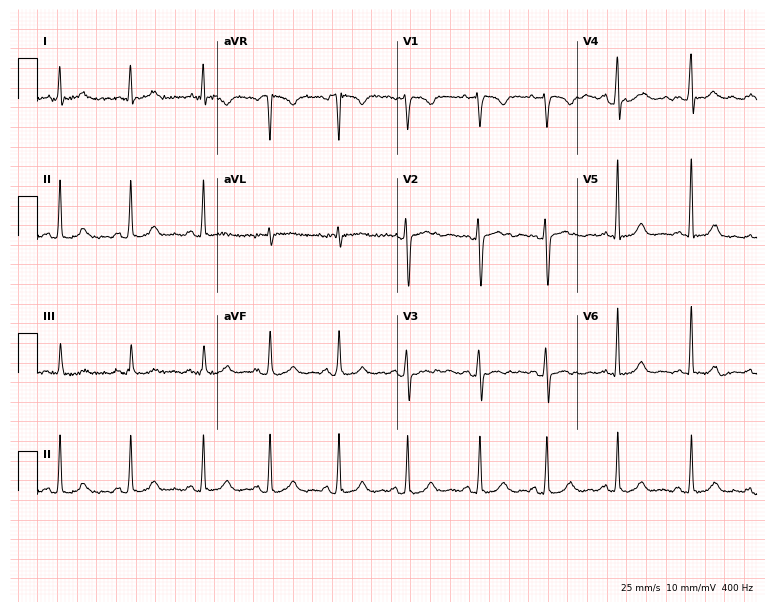
Electrocardiogram (7.3-second recording at 400 Hz), a 29-year-old female patient. Overall reading on record: normal ECG.